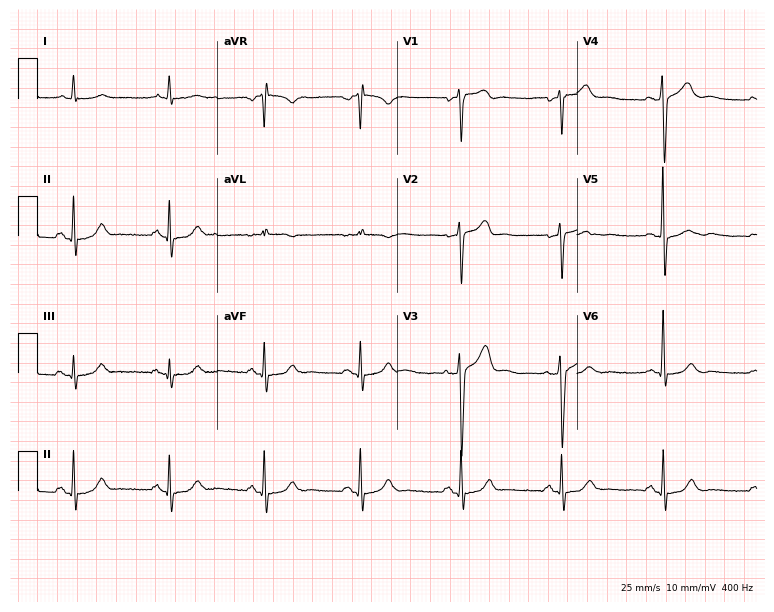
ECG (7.3-second recording at 400 Hz) — a 61-year-old male patient. Screened for six findings — first-degree AV block, right bundle branch block (RBBB), left bundle branch block (LBBB), sinus bradycardia, atrial fibrillation (AF), sinus tachycardia — none is recorded.